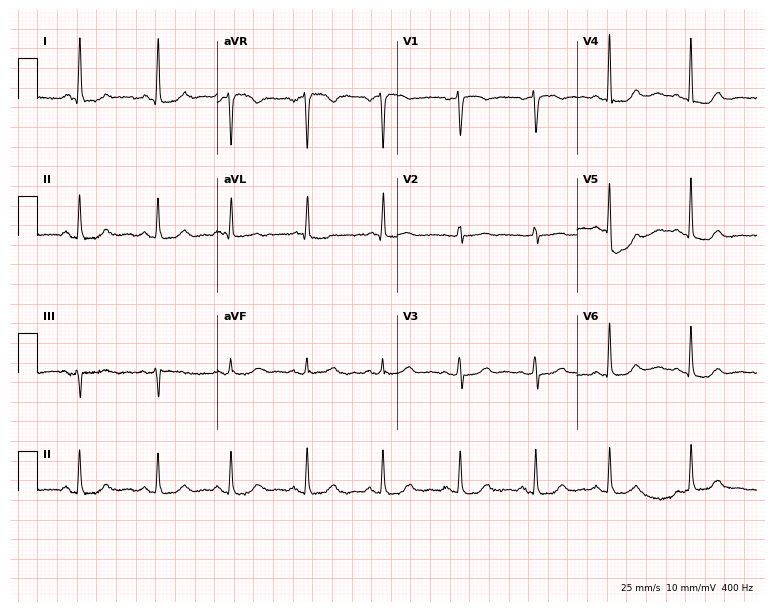
Standard 12-lead ECG recorded from a 69-year-old female patient. None of these six findings is recorded: first-degree AV block, right bundle branch block, left bundle branch block, sinus bradycardia, atrial fibrillation, sinus tachycardia.